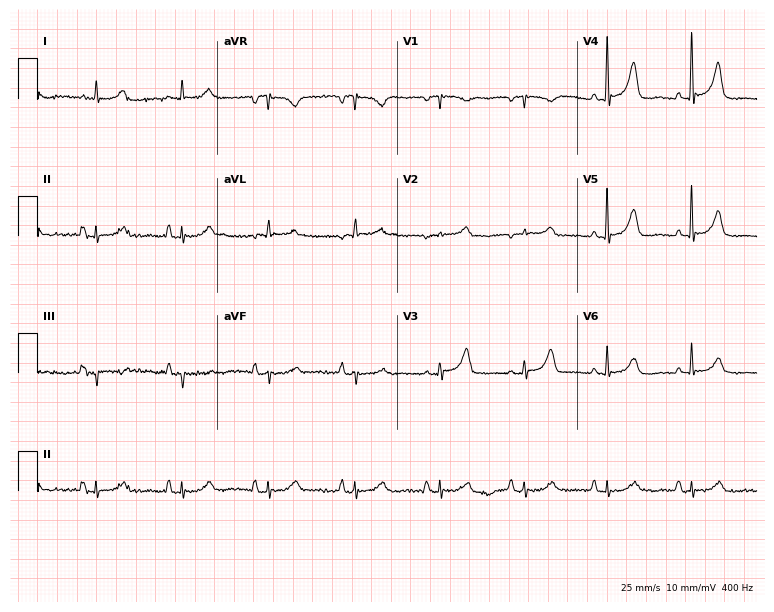
Electrocardiogram (7.3-second recording at 400 Hz), a female, 82 years old. Of the six screened findings (first-degree AV block, right bundle branch block, left bundle branch block, sinus bradycardia, atrial fibrillation, sinus tachycardia), none is recorded. Other findings, if any, are not listed.